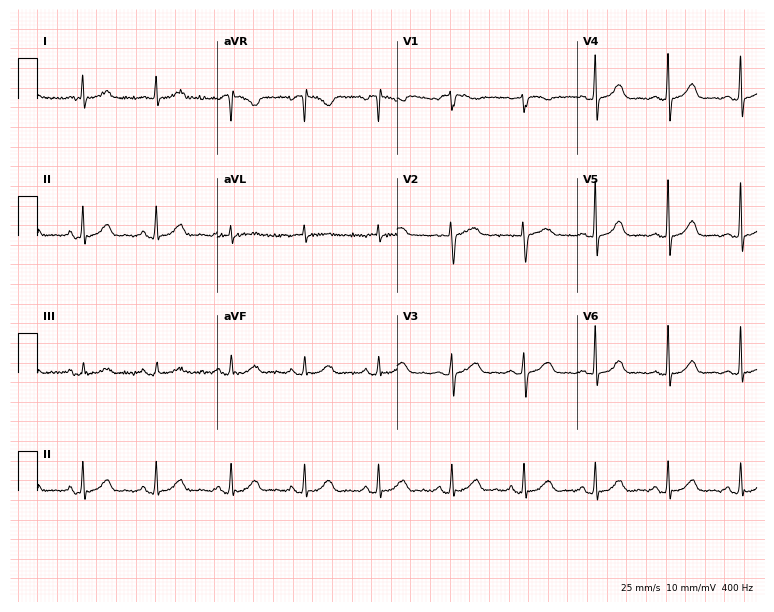
12-lead ECG from a female patient, 75 years old. Recorded interpretation: within normal limits.